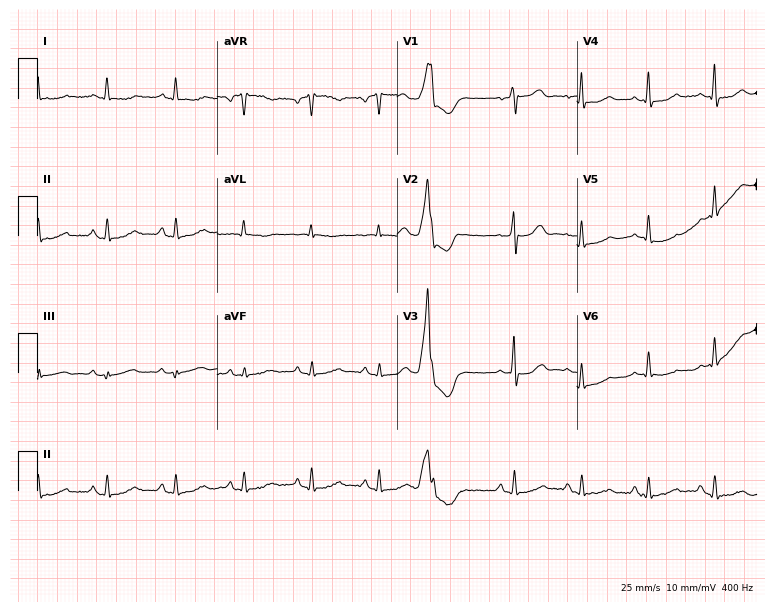
Standard 12-lead ECG recorded from a 60-year-old female (7.3-second recording at 400 Hz). None of these six findings is recorded: first-degree AV block, right bundle branch block, left bundle branch block, sinus bradycardia, atrial fibrillation, sinus tachycardia. Findings outside these six are not listed.